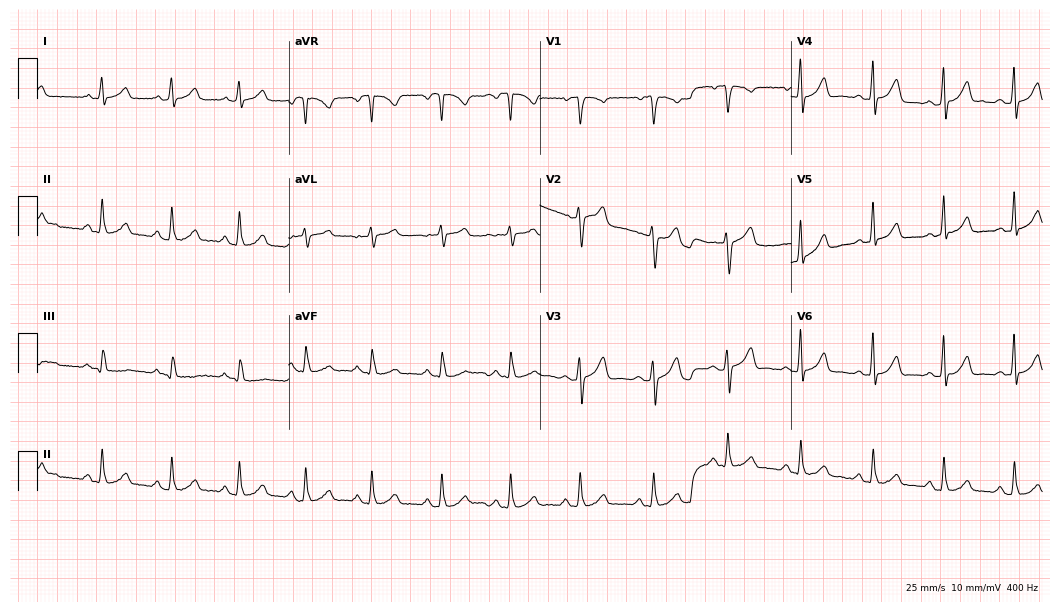
12-lead ECG from a 40-year-old man. Labelled as a normal ECG.